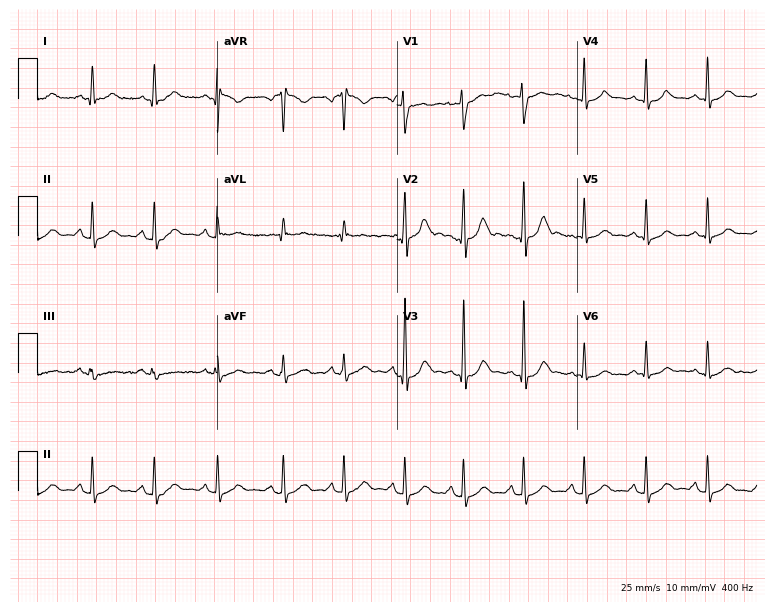
Standard 12-lead ECG recorded from a 28-year-old woman (7.3-second recording at 400 Hz). None of these six findings is recorded: first-degree AV block, right bundle branch block, left bundle branch block, sinus bradycardia, atrial fibrillation, sinus tachycardia.